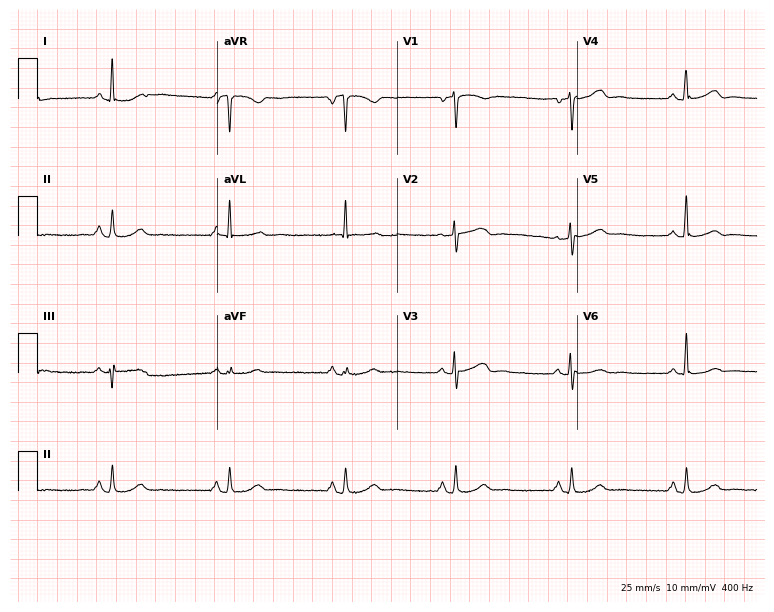
Standard 12-lead ECG recorded from a 48-year-old woman (7.3-second recording at 400 Hz). None of these six findings is recorded: first-degree AV block, right bundle branch block, left bundle branch block, sinus bradycardia, atrial fibrillation, sinus tachycardia.